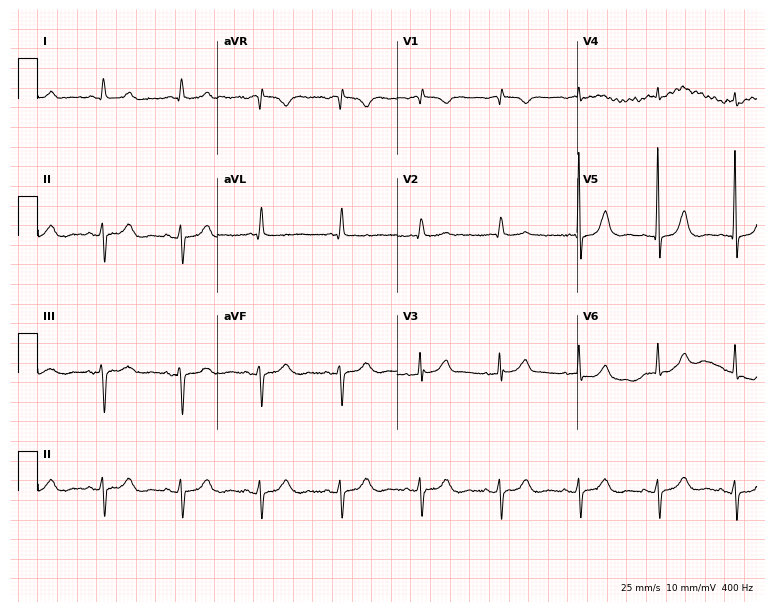
Standard 12-lead ECG recorded from a woman, 83 years old (7.3-second recording at 400 Hz). None of these six findings is recorded: first-degree AV block, right bundle branch block, left bundle branch block, sinus bradycardia, atrial fibrillation, sinus tachycardia. Other findings, if any, are not listed.